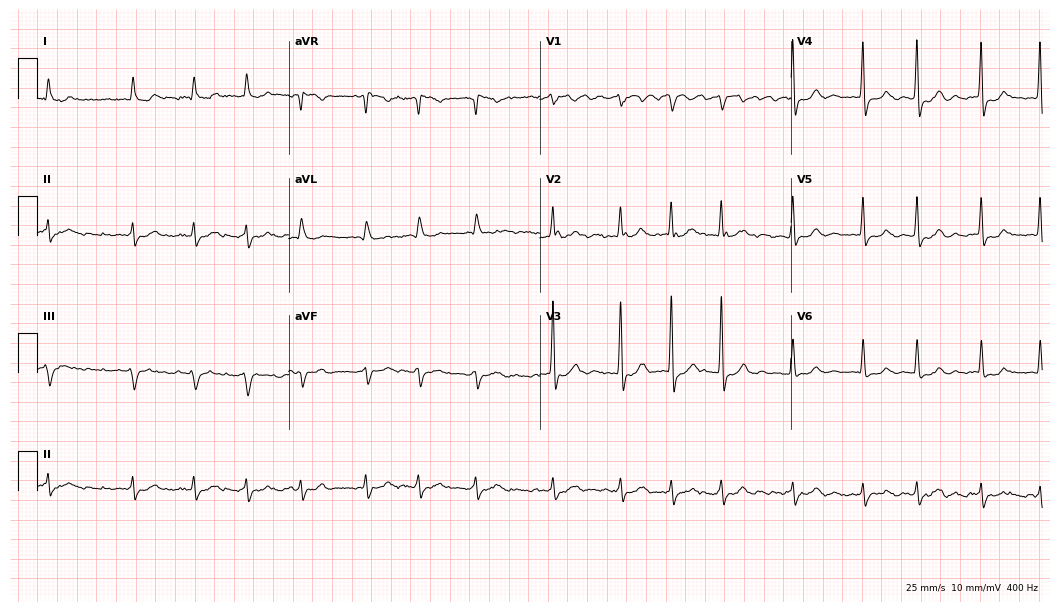
Resting 12-lead electrocardiogram. Patient: a woman, 54 years old. The tracing shows atrial fibrillation.